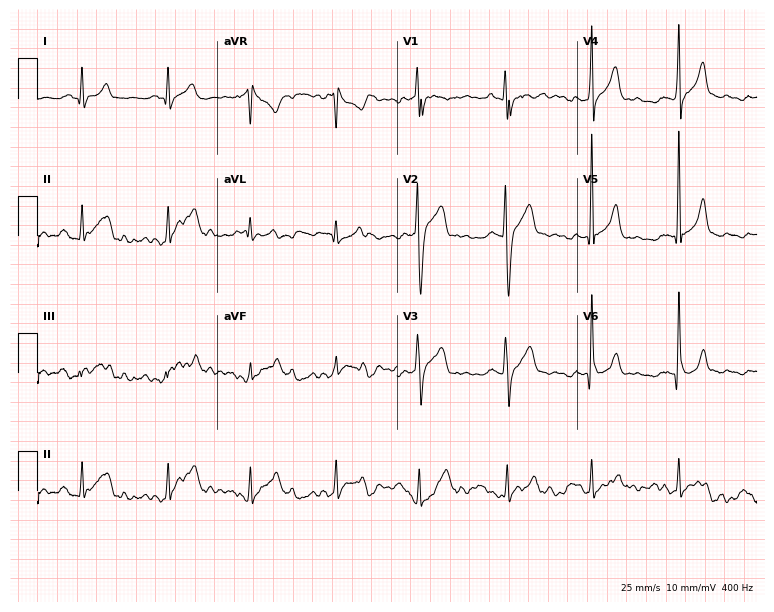
Standard 12-lead ECG recorded from a male, 38 years old. None of these six findings is recorded: first-degree AV block, right bundle branch block, left bundle branch block, sinus bradycardia, atrial fibrillation, sinus tachycardia. Only these six findings were labelled.